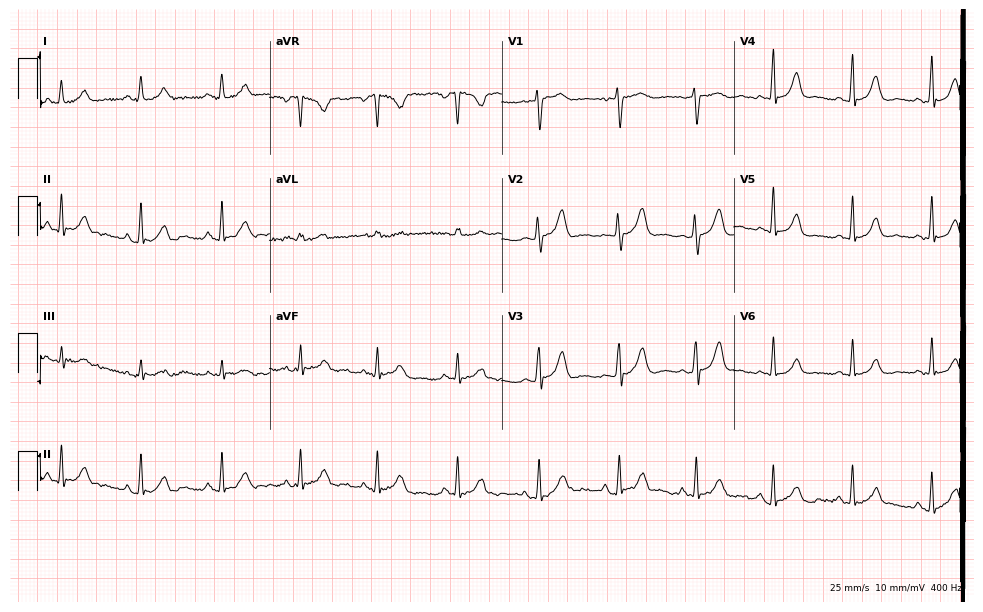
Standard 12-lead ECG recorded from a woman, 33 years old. Read as a normal ECG.